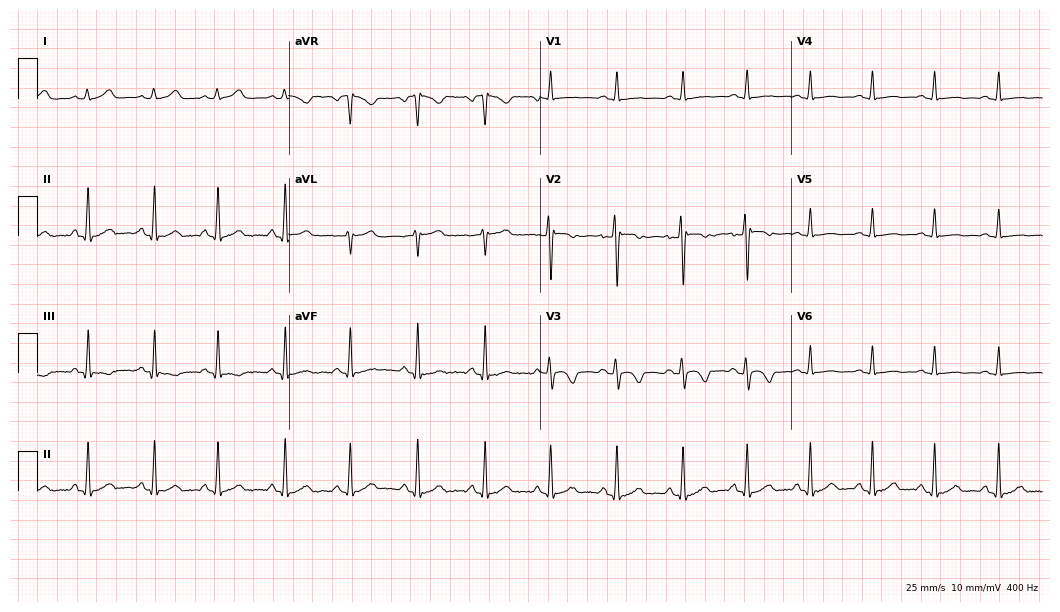
ECG — a male patient, 26 years old. Screened for six findings — first-degree AV block, right bundle branch block, left bundle branch block, sinus bradycardia, atrial fibrillation, sinus tachycardia — none is recorded.